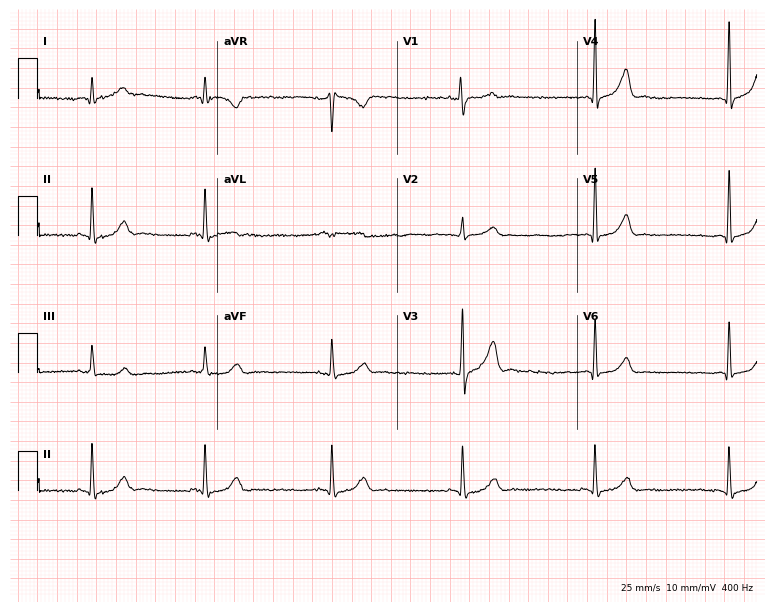
Resting 12-lead electrocardiogram (7.3-second recording at 400 Hz). Patient: a male, 38 years old. None of these six findings is recorded: first-degree AV block, right bundle branch block, left bundle branch block, sinus bradycardia, atrial fibrillation, sinus tachycardia. Other findings, if any, are not listed.